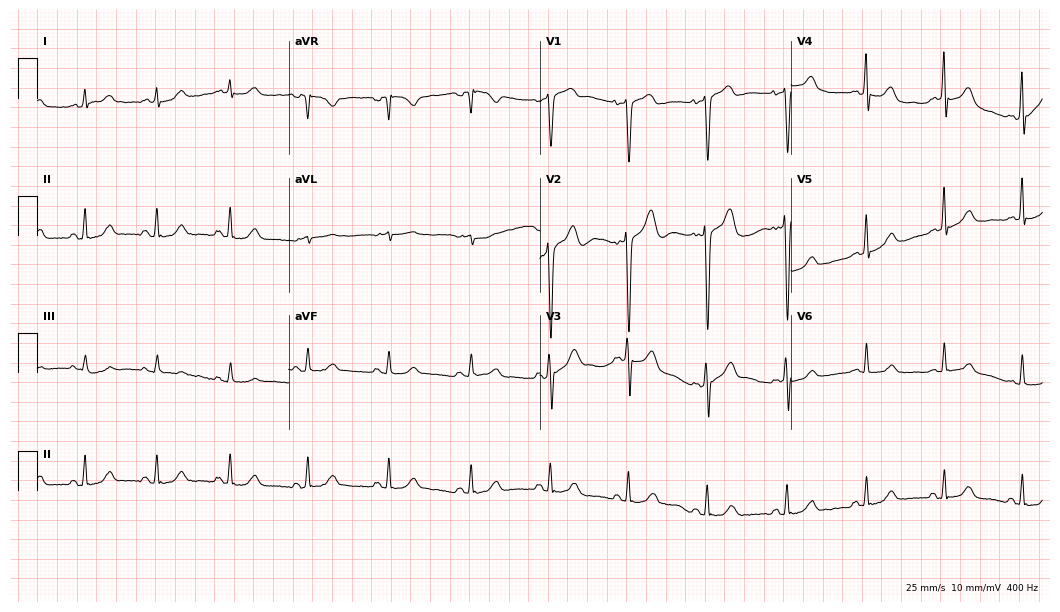
Standard 12-lead ECG recorded from a man, 46 years old (10.2-second recording at 400 Hz). Read as a normal ECG.